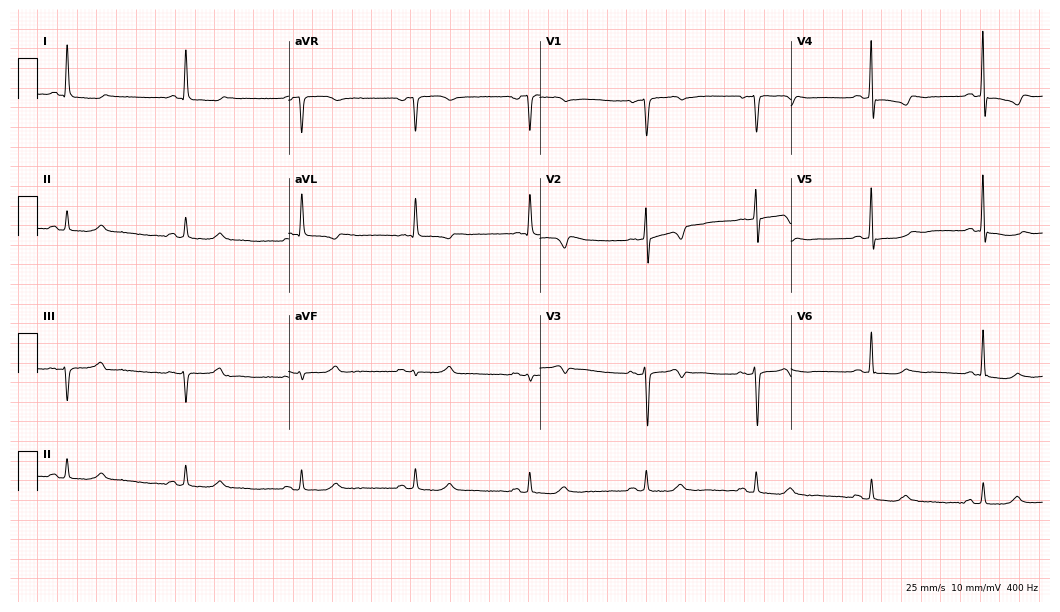
Resting 12-lead electrocardiogram. Patient: a female, 64 years old. None of these six findings is recorded: first-degree AV block, right bundle branch block, left bundle branch block, sinus bradycardia, atrial fibrillation, sinus tachycardia.